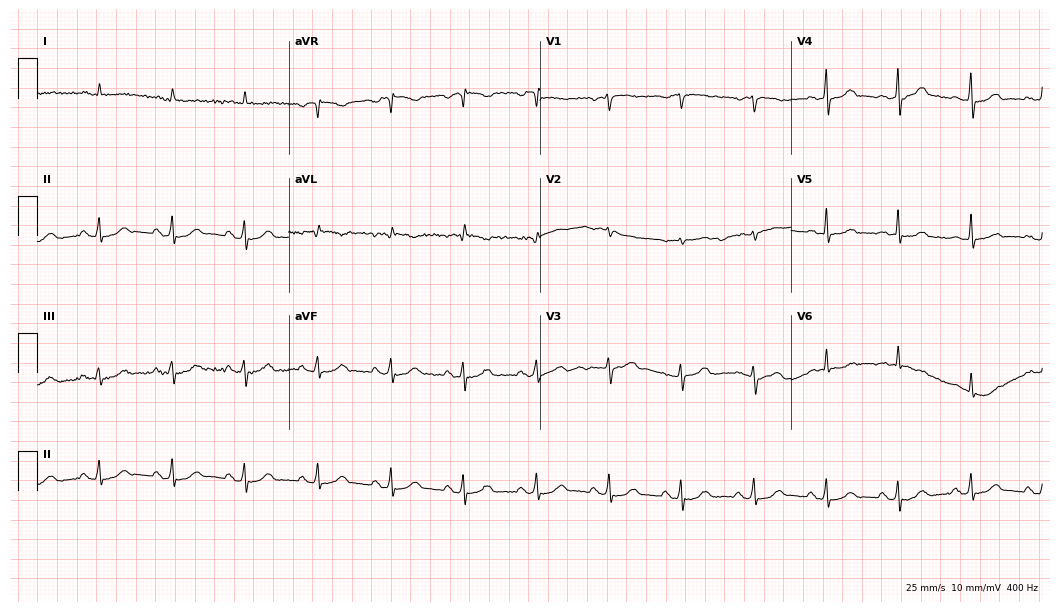
12-lead ECG (10.2-second recording at 400 Hz) from a 77-year-old male. Screened for six findings — first-degree AV block, right bundle branch block, left bundle branch block, sinus bradycardia, atrial fibrillation, sinus tachycardia — none is recorded. Other findings, if any, are not listed.